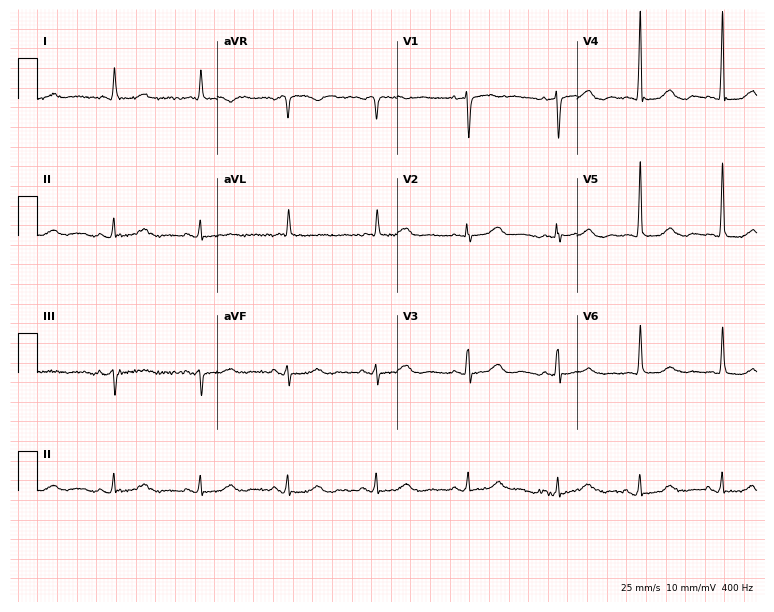
Standard 12-lead ECG recorded from a female patient, 79 years old (7.3-second recording at 400 Hz). Read as a normal ECG.